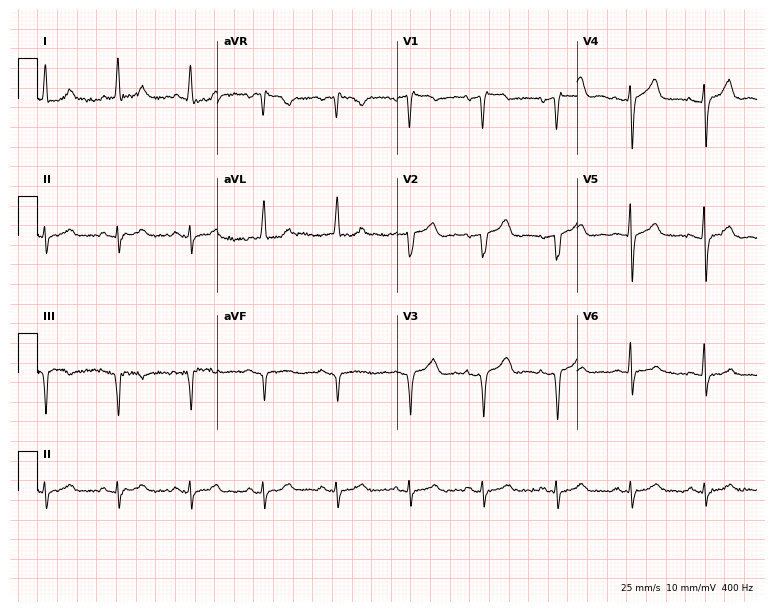
Resting 12-lead electrocardiogram. Patient: a man, 78 years old. None of these six findings is recorded: first-degree AV block, right bundle branch block, left bundle branch block, sinus bradycardia, atrial fibrillation, sinus tachycardia. Findings outside these six are not listed.